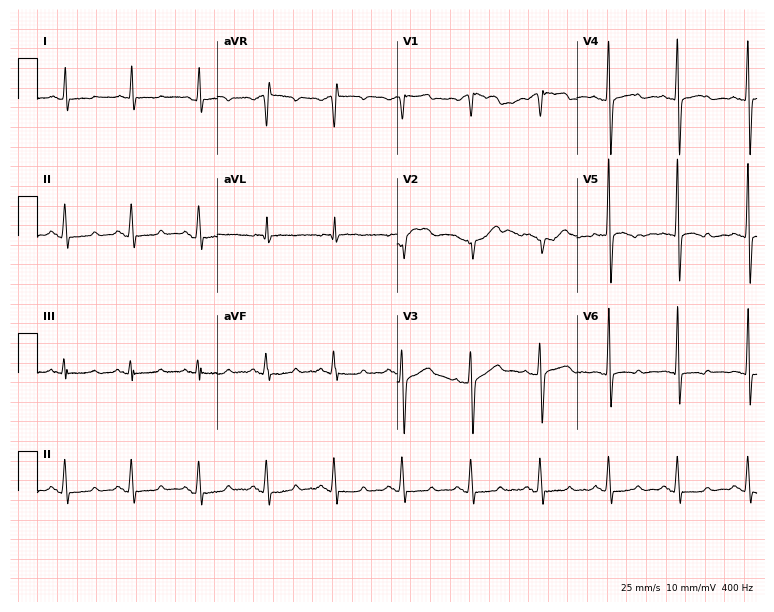
Standard 12-lead ECG recorded from a 66-year-old male. None of these six findings is recorded: first-degree AV block, right bundle branch block, left bundle branch block, sinus bradycardia, atrial fibrillation, sinus tachycardia. Only these six findings were labelled.